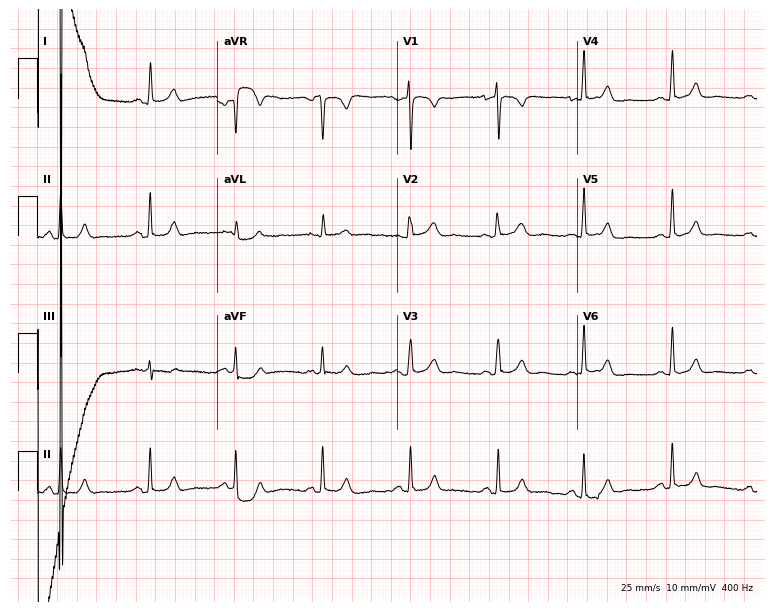
Electrocardiogram, a 74-year-old woman. Overall reading on record: normal ECG.